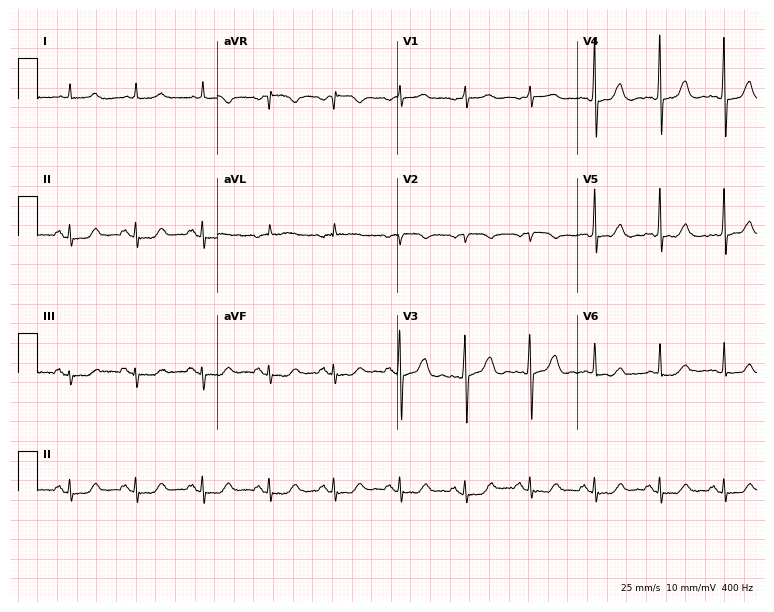
Electrocardiogram, a 70-year-old female. Of the six screened findings (first-degree AV block, right bundle branch block, left bundle branch block, sinus bradycardia, atrial fibrillation, sinus tachycardia), none is recorded. Only these six findings were labelled.